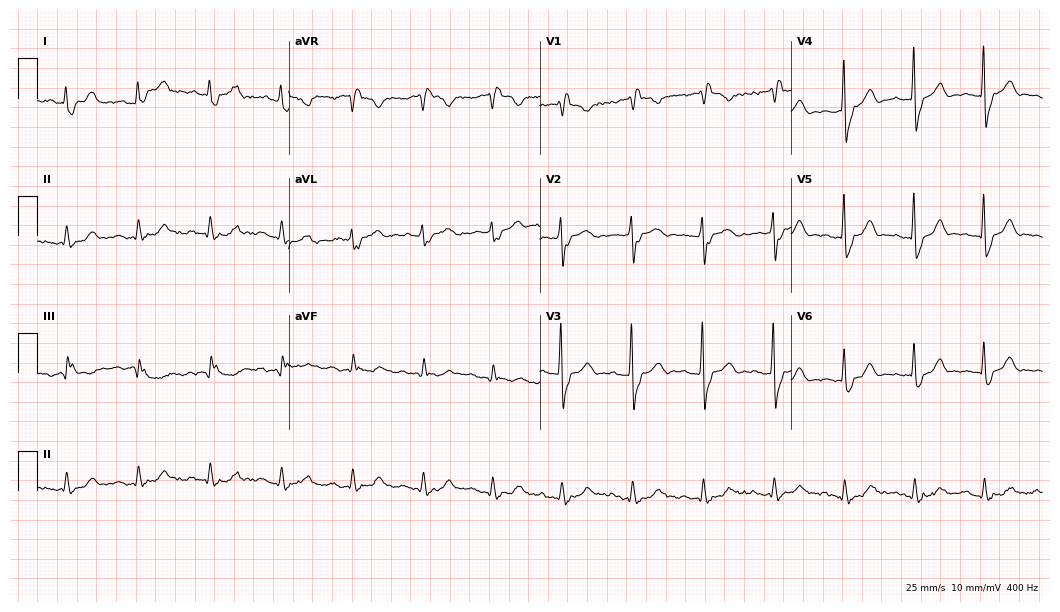
Resting 12-lead electrocardiogram (10.2-second recording at 400 Hz). Patient: an 85-year-old male. The tracing shows right bundle branch block.